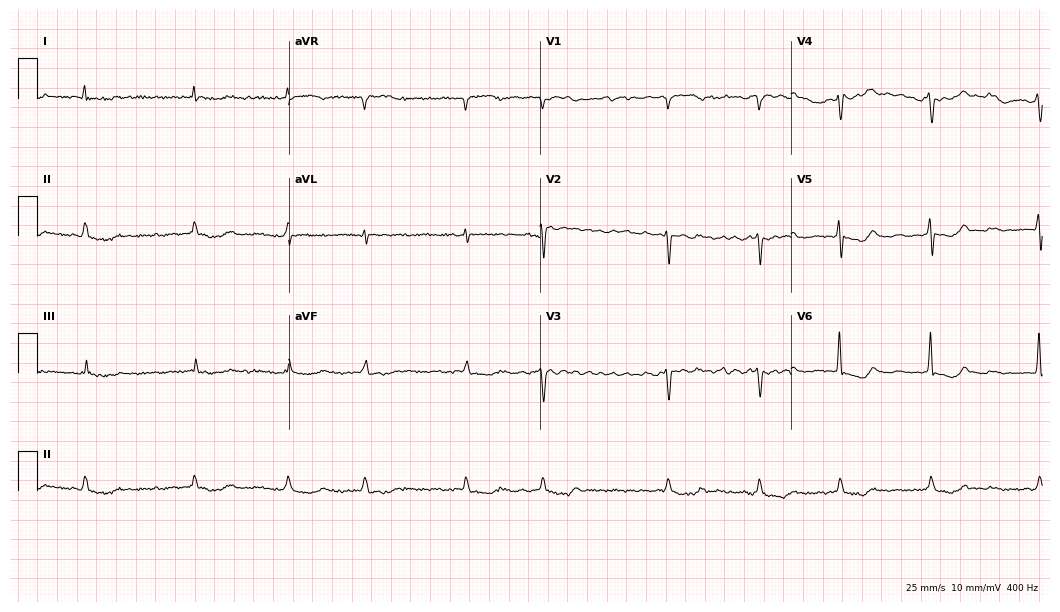
Electrocardiogram (10.2-second recording at 400 Hz), an 85-year-old female. Of the six screened findings (first-degree AV block, right bundle branch block (RBBB), left bundle branch block (LBBB), sinus bradycardia, atrial fibrillation (AF), sinus tachycardia), none is recorded. Findings outside these six are not listed.